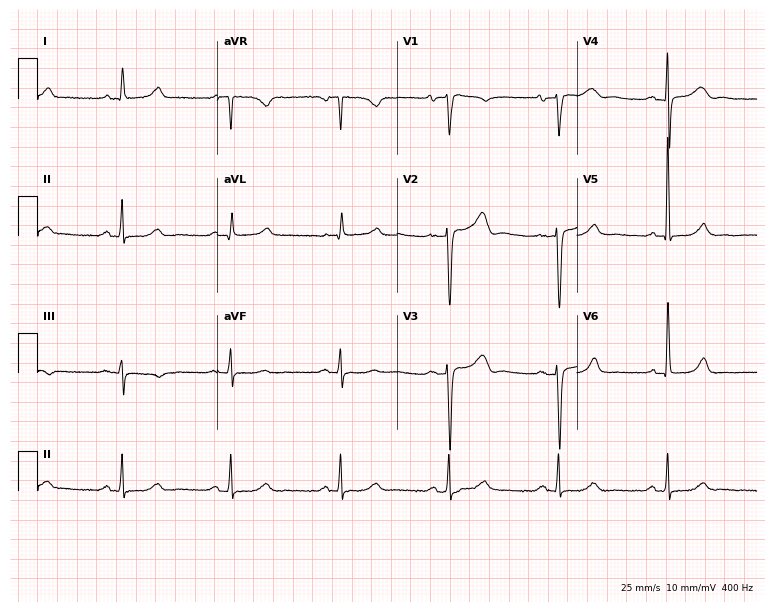
12-lead ECG from a female patient, 85 years old. No first-degree AV block, right bundle branch block, left bundle branch block, sinus bradycardia, atrial fibrillation or sinus tachycardia recorded for this tracing.